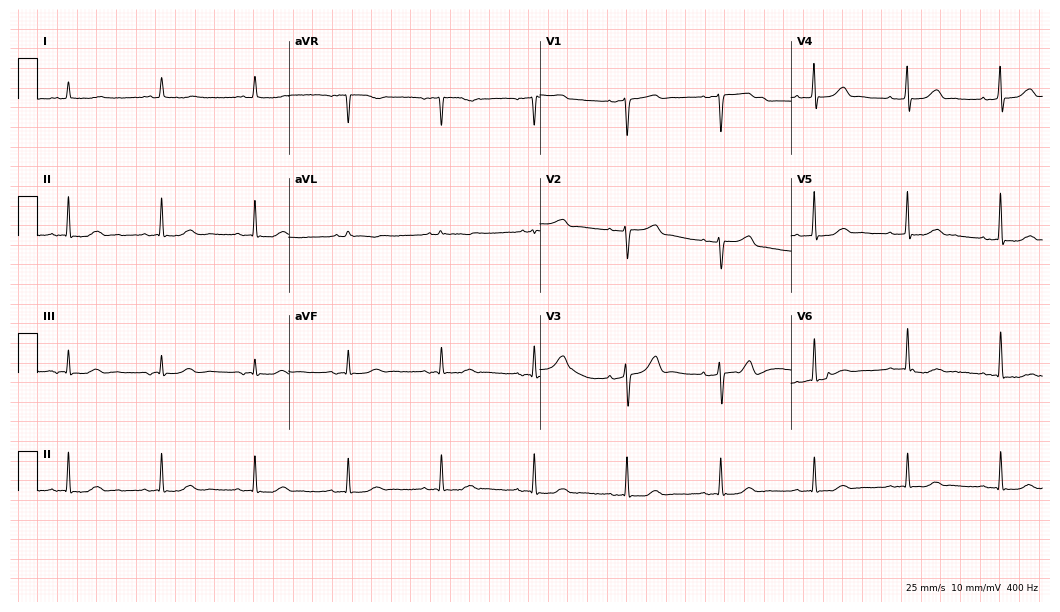
Standard 12-lead ECG recorded from a male patient, 65 years old. Read as a normal ECG.